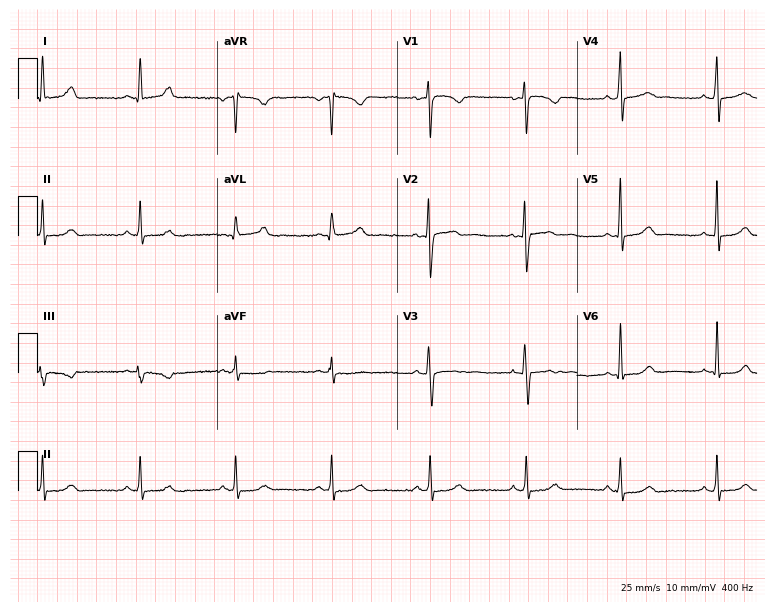
Electrocardiogram (7.3-second recording at 400 Hz), a 36-year-old female. Of the six screened findings (first-degree AV block, right bundle branch block, left bundle branch block, sinus bradycardia, atrial fibrillation, sinus tachycardia), none is recorded.